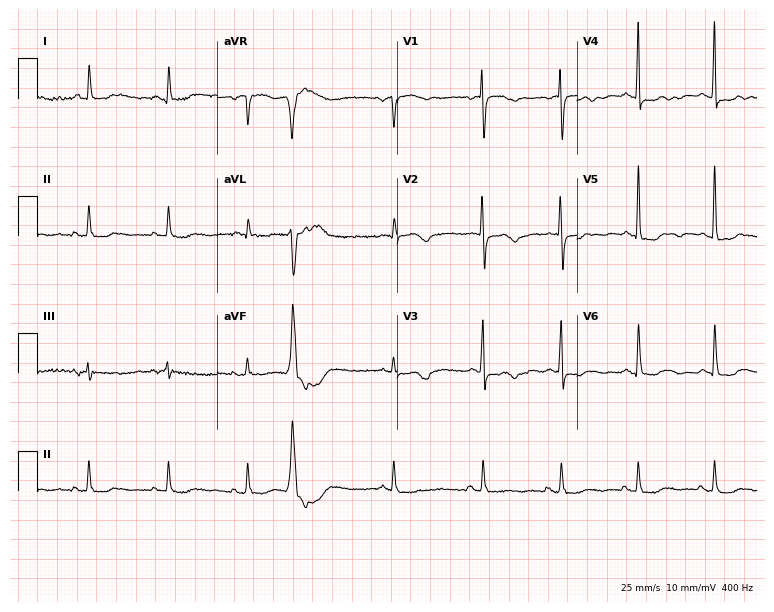
Resting 12-lead electrocardiogram. Patient: a female, 69 years old. None of these six findings is recorded: first-degree AV block, right bundle branch block, left bundle branch block, sinus bradycardia, atrial fibrillation, sinus tachycardia.